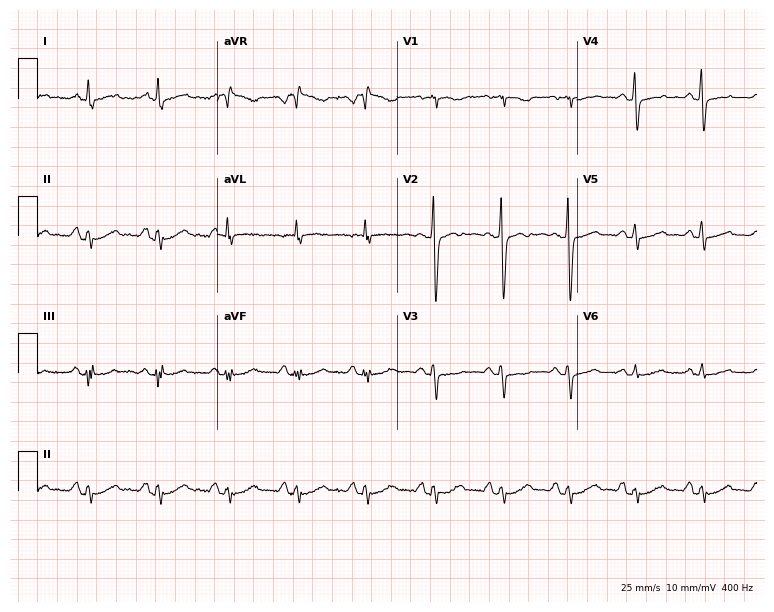
ECG — a 68-year-old female. Screened for six findings — first-degree AV block, right bundle branch block (RBBB), left bundle branch block (LBBB), sinus bradycardia, atrial fibrillation (AF), sinus tachycardia — none is recorded. Findings outside these six are not listed.